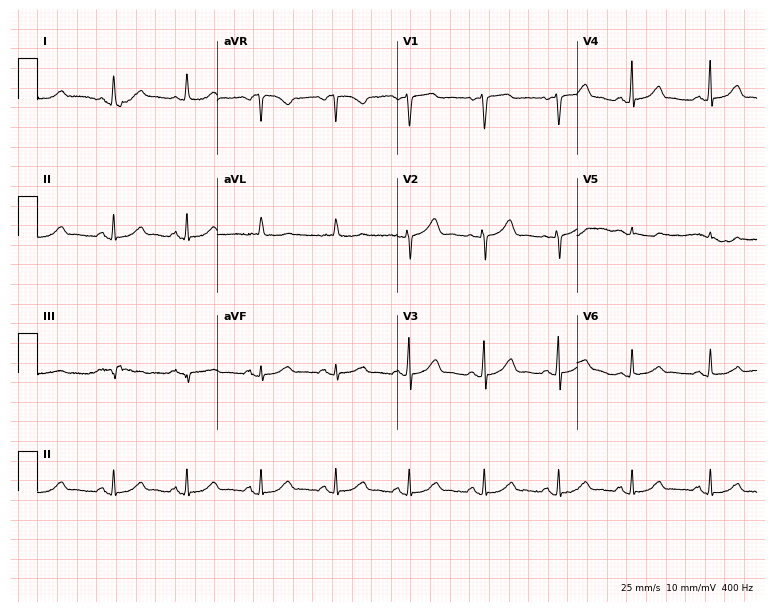
Resting 12-lead electrocardiogram. Patient: a 71-year-old female. Read as a normal ECG.